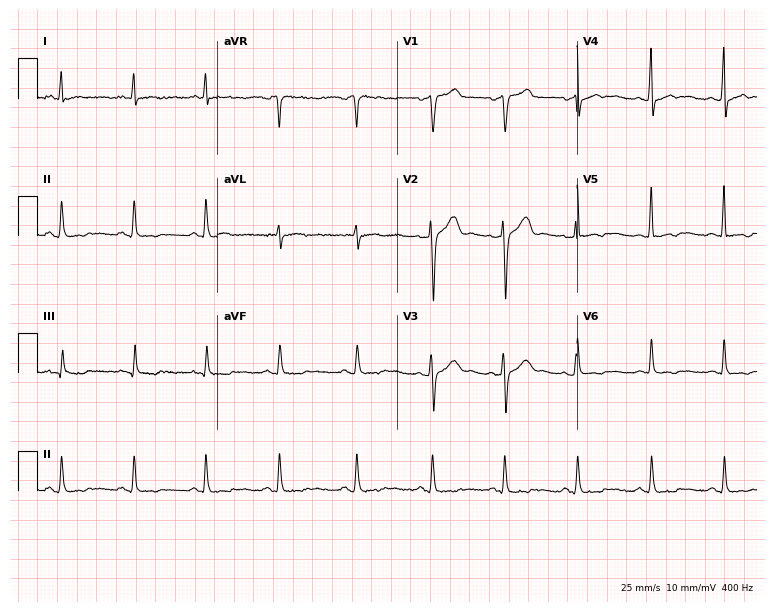
12-lead ECG (7.3-second recording at 400 Hz) from a 44-year-old male. Screened for six findings — first-degree AV block, right bundle branch block, left bundle branch block, sinus bradycardia, atrial fibrillation, sinus tachycardia — none is recorded.